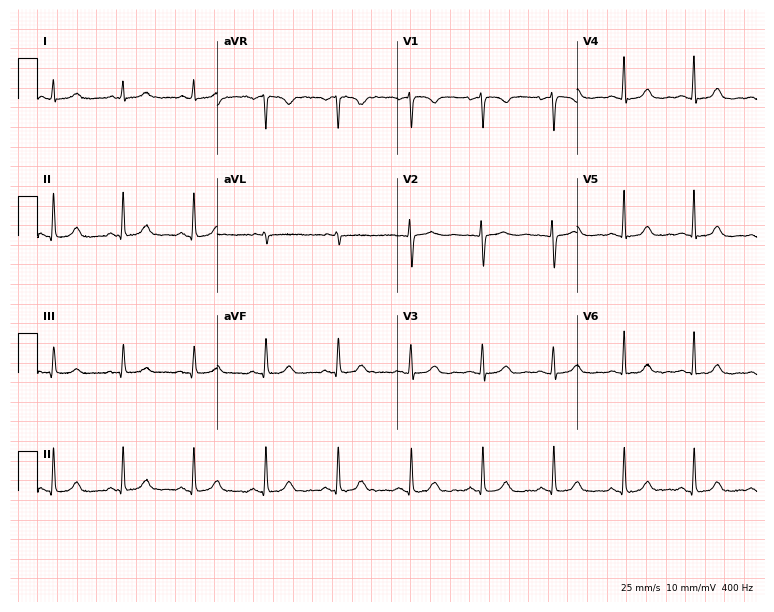
Resting 12-lead electrocardiogram (7.3-second recording at 400 Hz). Patient: a female, 46 years old. Read as a normal ECG.